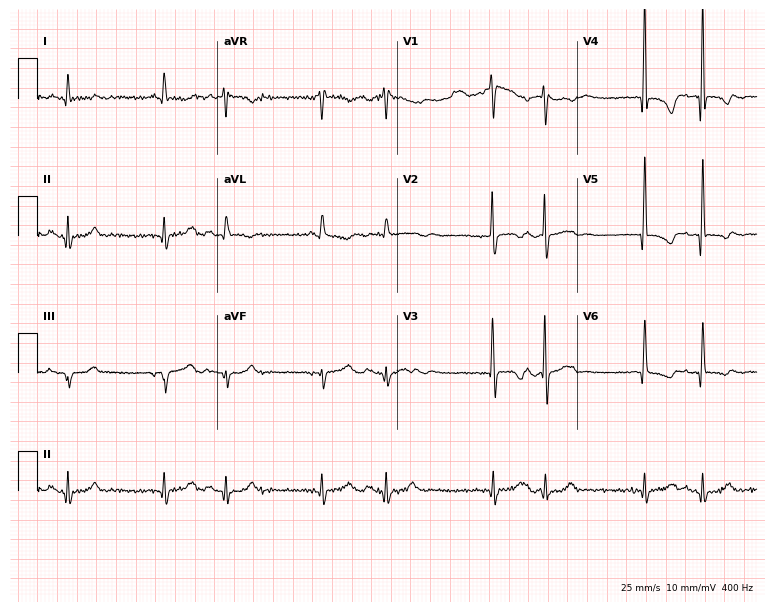
Resting 12-lead electrocardiogram (7.3-second recording at 400 Hz). Patient: a male, 82 years old. None of these six findings is recorded: first-degree AV block, right bundle branch block, left bundle branch block, sinus bradycardia, atrial fibrillation, sinus tachycardia.